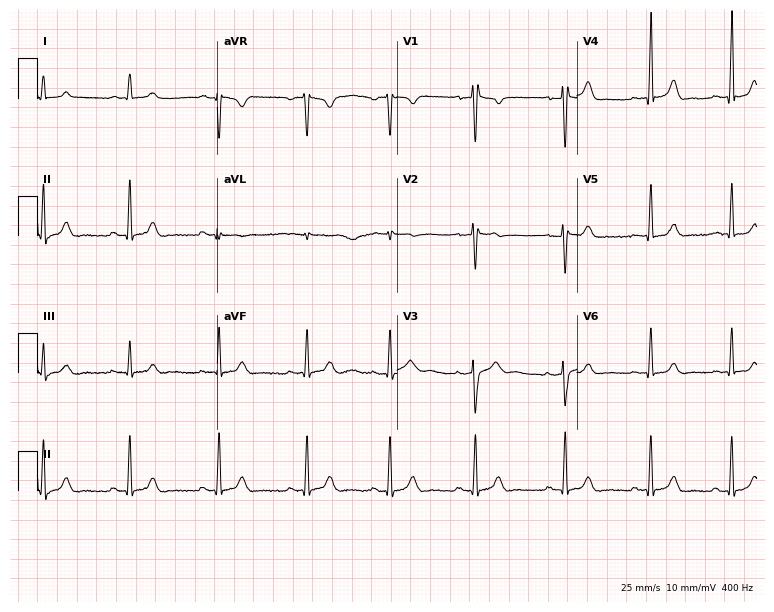
Standard 12-lead ECG recorded from a woman, 22 years old (7.3-second recording at 400 Hz). None of these six findings is recorded: first-degree AV block, right bundle branch block, left bundle branch block, sinus bradycardia, atrial fibrillation, sinus tachycardia. Findings outside these six are not listed.